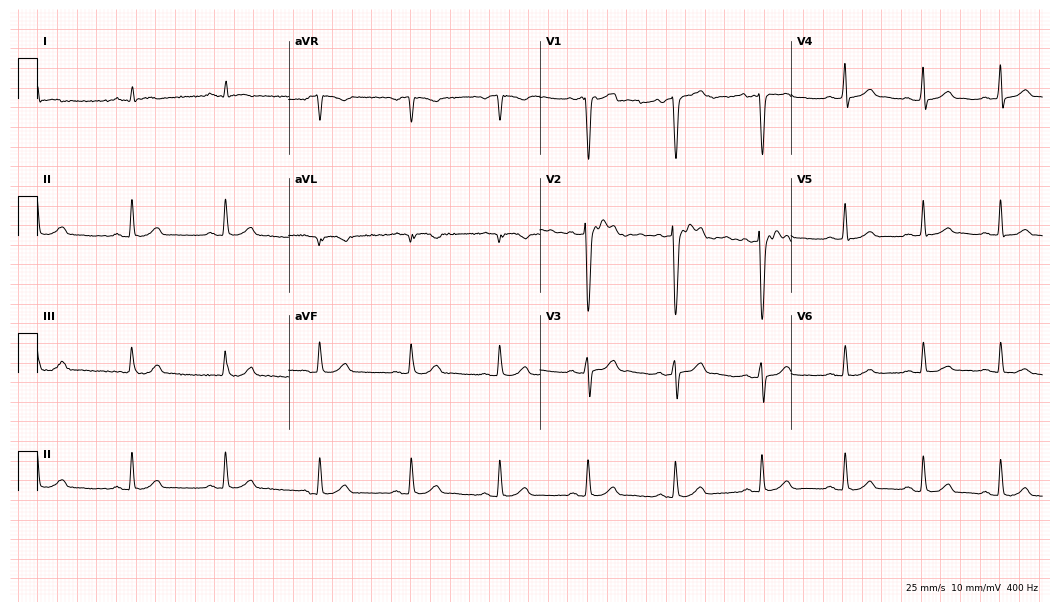
12-lead ECG from a male patient, 65 years old. No first-degree AV block, right bundle branch block, left bundle branch block, sinus bradycardia, atrial fibrillation or sinus tachycardia recorded for this tracing. Findings outside these six are not listed.